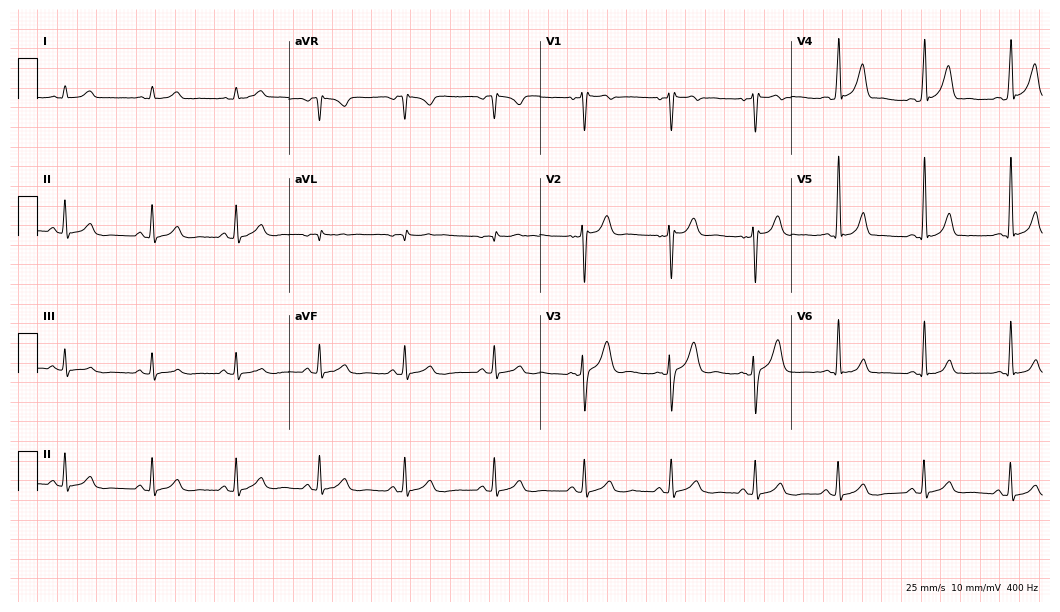
12-lead ECG from a man, 29 years old. Labelled as a normal ECG.